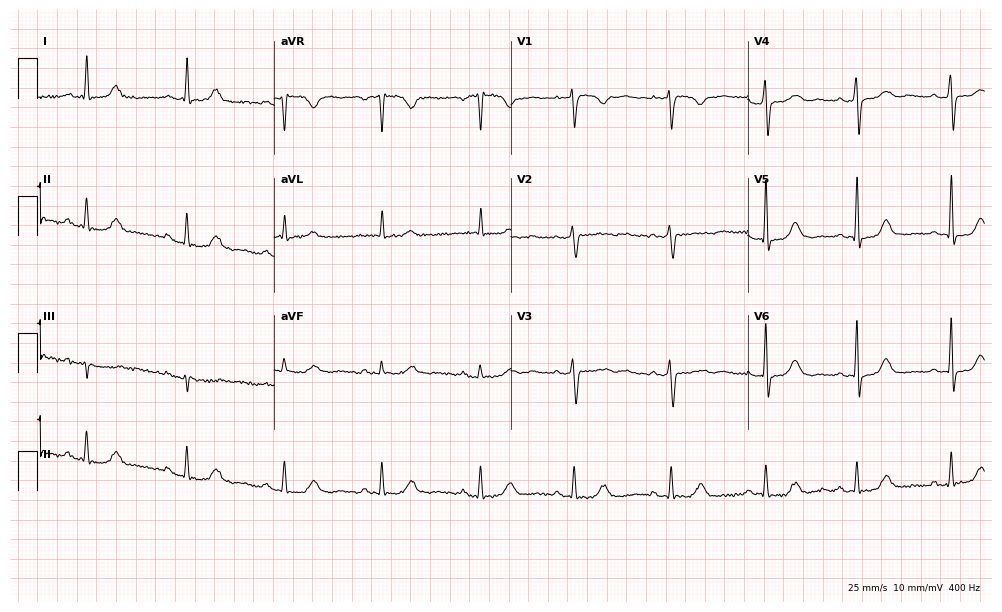
12-lead ECG (9.7-second recording at 400 Hz) from a female patient, 67 years old. Labelled as a normal ECG.